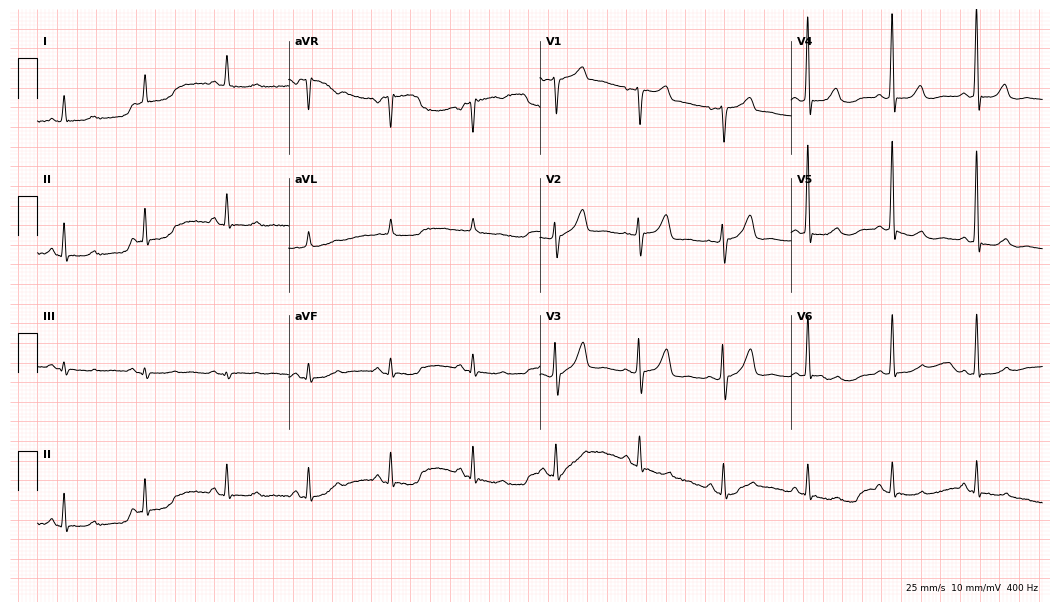
12-lead ECG from a 61-year-old woman (10.2-second recording at 400 Hz). No first-degree AV block, right bundle branch block, left bundle branch block, sinus bradycardia, atrial fibrillation or sinus tachycardia recorded for this tracing.